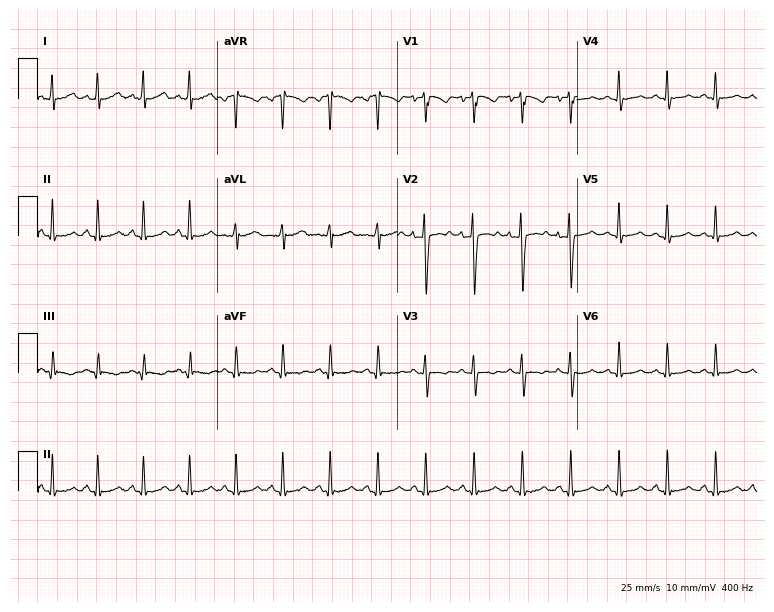
Electrocardiogram, a 21-year-old woman. Interpretation includes sinus tachycardia (a sinus rate of 100 beats per minute or more).